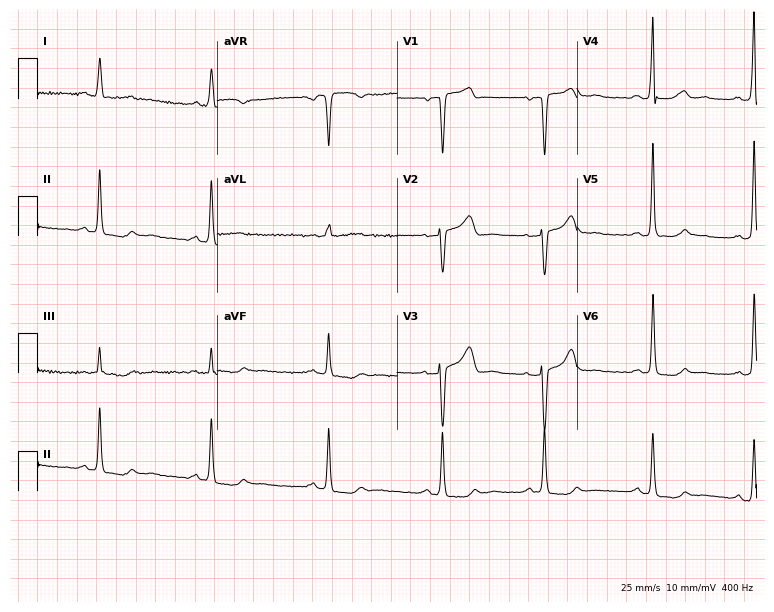
Electrocardiogram (7.3-second recording at 400 Hz), a 47-year-old woman. Of the six screened findings (first-degree AV block, right bundle branch block, left bundle branch block, sinus bradycardia, atrial fibrillation, sinus tachycardia), none is recorded.